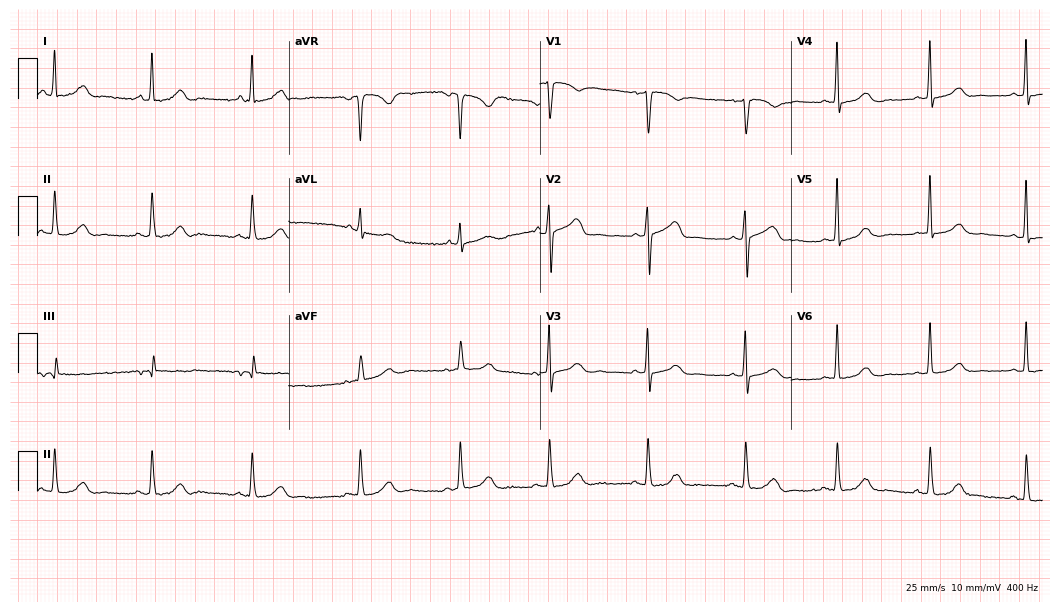
Standard 12-lead ECG recorded from a female patient, 69 years old. Read as a normal ECG.